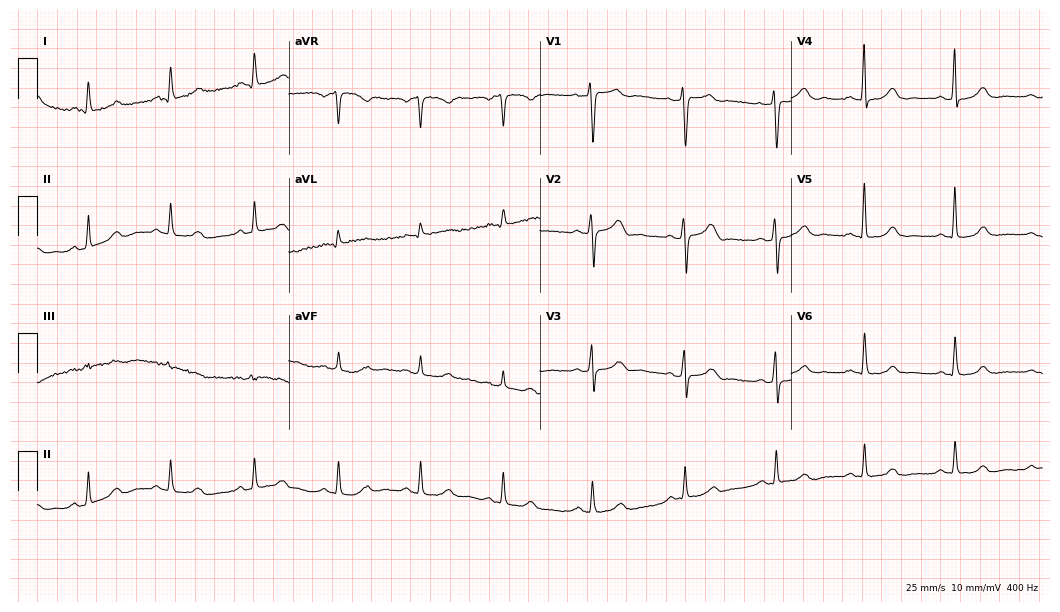
Electrocardiogram (10.2-second recording at 400 Hz), a woman, 61 years old. Overall reading on record: normal ECG.